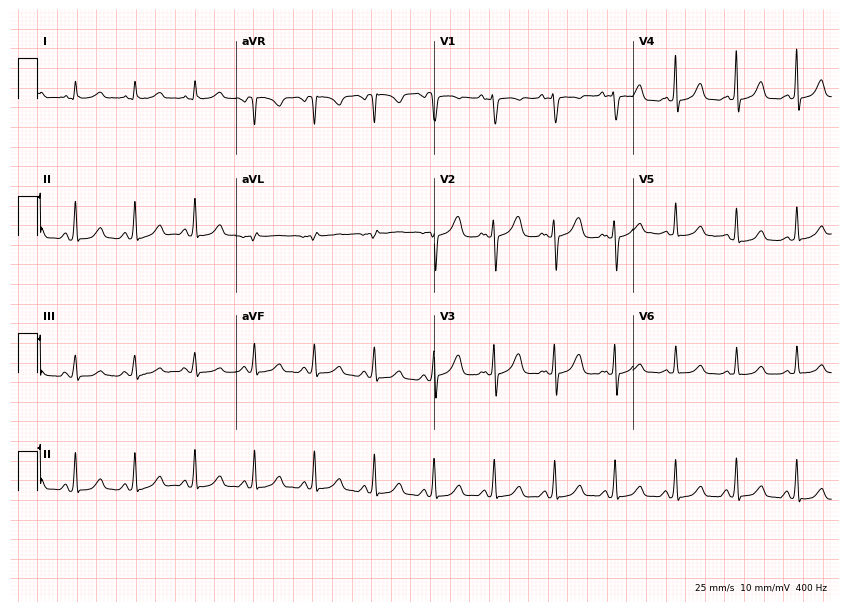
12-lead ECG from a woman, 37 years old. Labelled as a normal ECG.